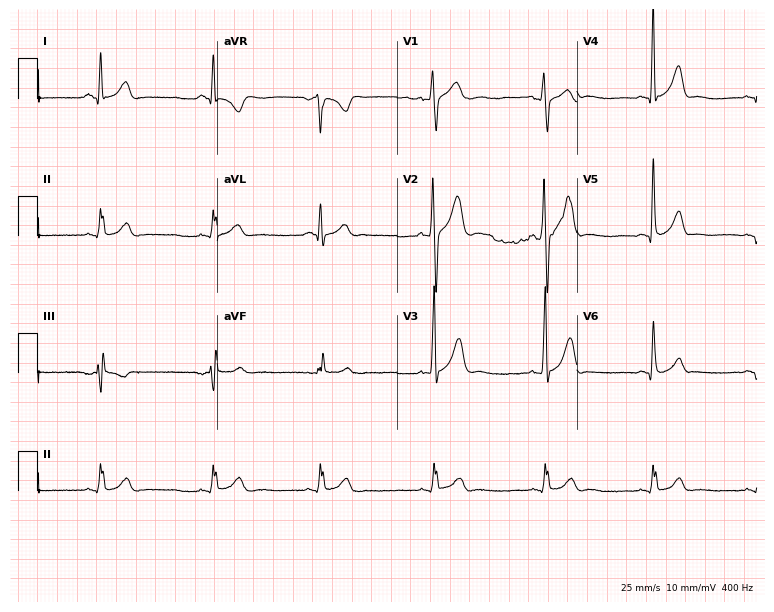
Standard 12-lead ECG recorded from a 20-year-old male patient (7.3-second recording at 400 Hz). None of these six findings is recorded: first-degree AV block, right bundle branch block, left bundle branch block, sinus bradycardia, atrial fibrillation, sinus tachycardia. Findings outside these six are not listed.